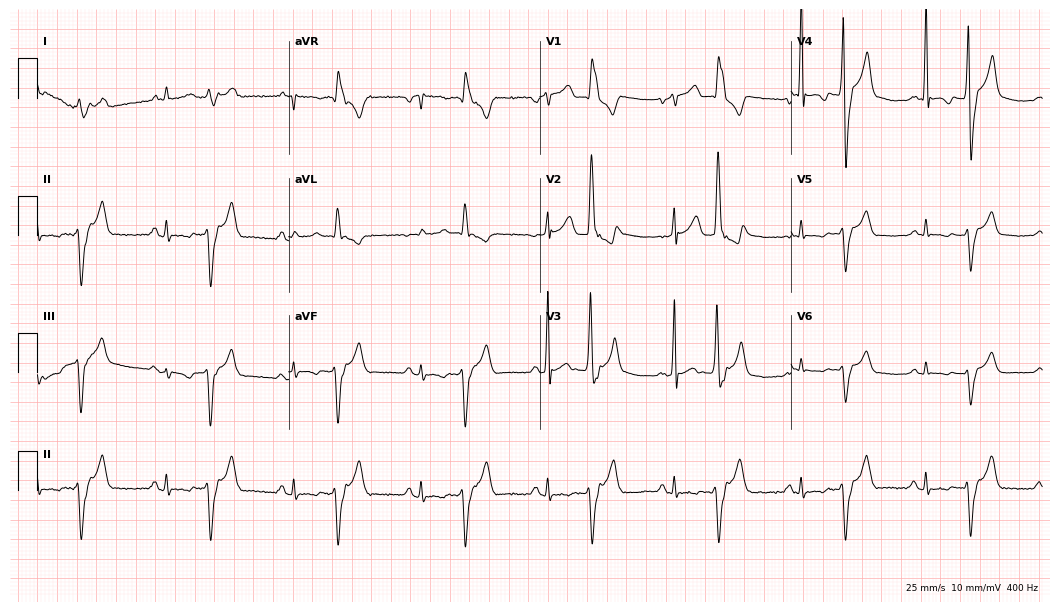
Resting 12-lead electrocardiogram (10.2-second recording at 400 Hz). Patient: a 54-year-old male. None of these six findings is recorded: first-degree AV block, right bundle branch block, left bundle branch block, sinus bradycardia, atrial fibrillation, sinus tachycardia. Findings outside these six are not listed.